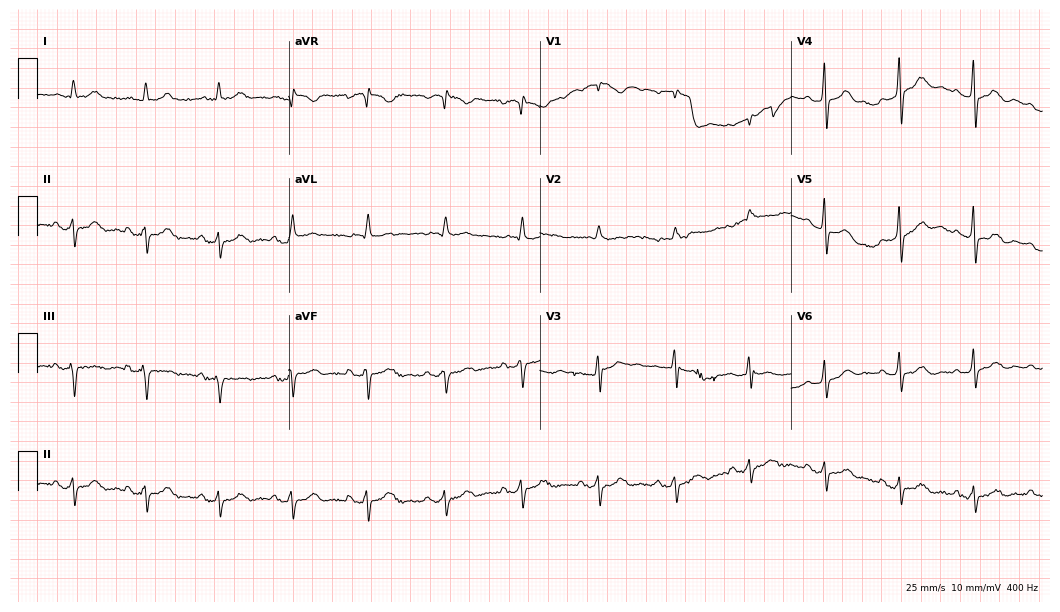
Electrocardiogram (10.2-second recording at 400 Hz), a man, 68 years old. Of the six screened findings (first-degree AV block, right bundle branch block, left bundle branch block, sinus bradycardia, atrial fibrillation, sinus tachycardia), none is recorded. Other findings, if any, are not listed.